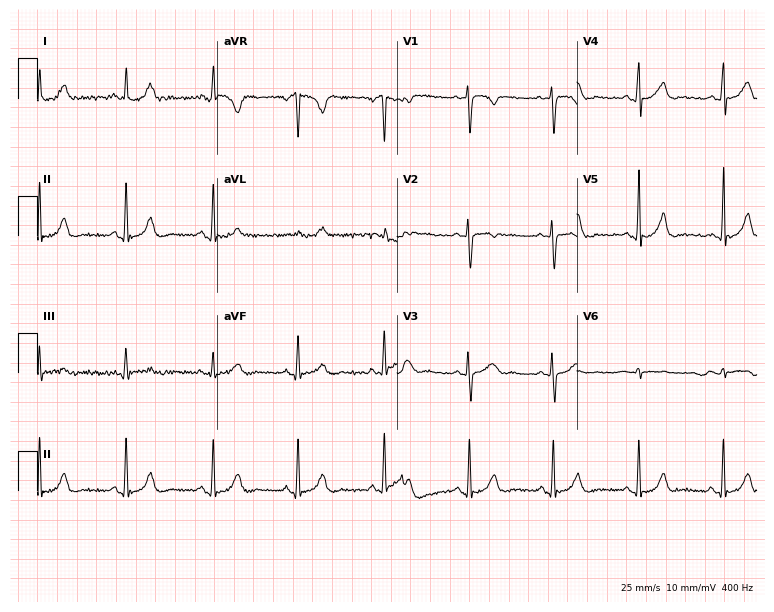
Standard 12-lead ECG recorded from a woman, 25 years old (7.3-second recording at 400 Hz). Read as a normal ECG.